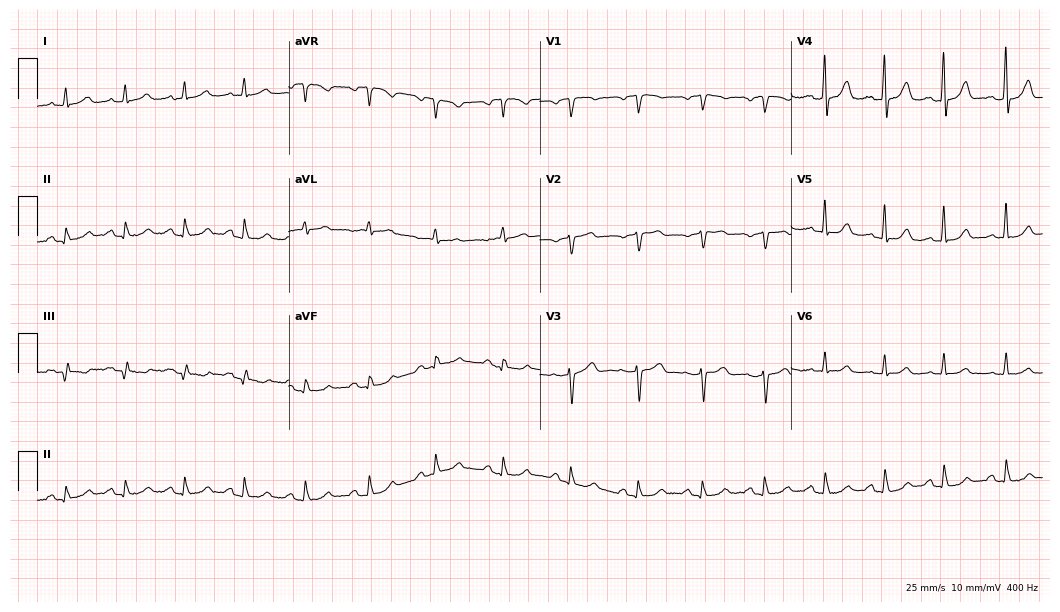
12-lead ECG (10.2-second recording at 400 Hz) from a woman, 56 years old. Labelled as a normal ECG.